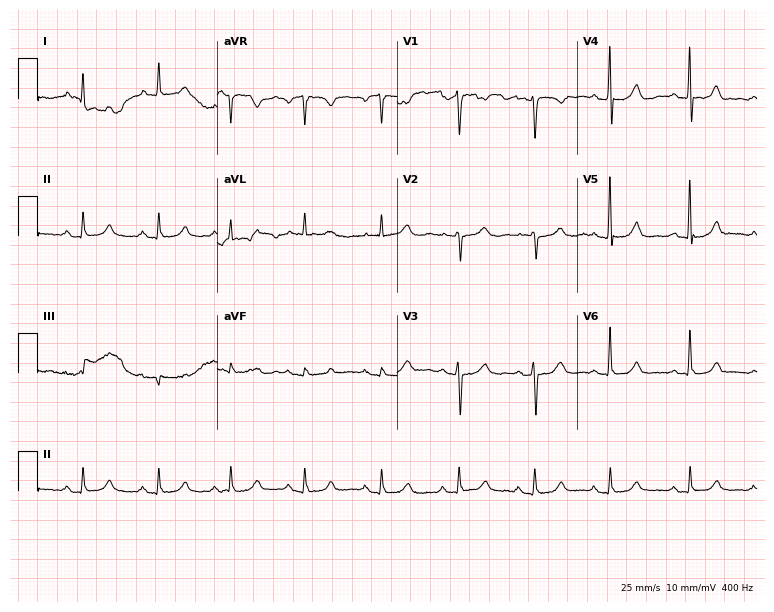
12-lead ECG from a 60-year-old female patient. Screened for six findings — first-degree AV block, right bundle branch block, left bundle branch block, sinus bradycardia, atrial fibrillation, sinus tachycardia — none is recorded.